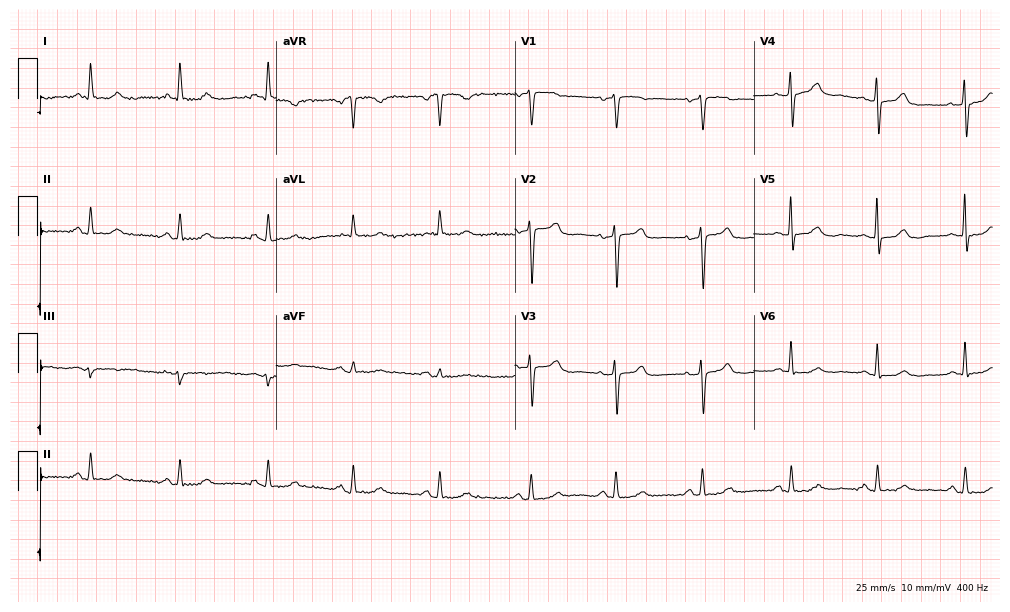
12-lead ECG from an 83-year-old woman. Labelled as a normal ECG.